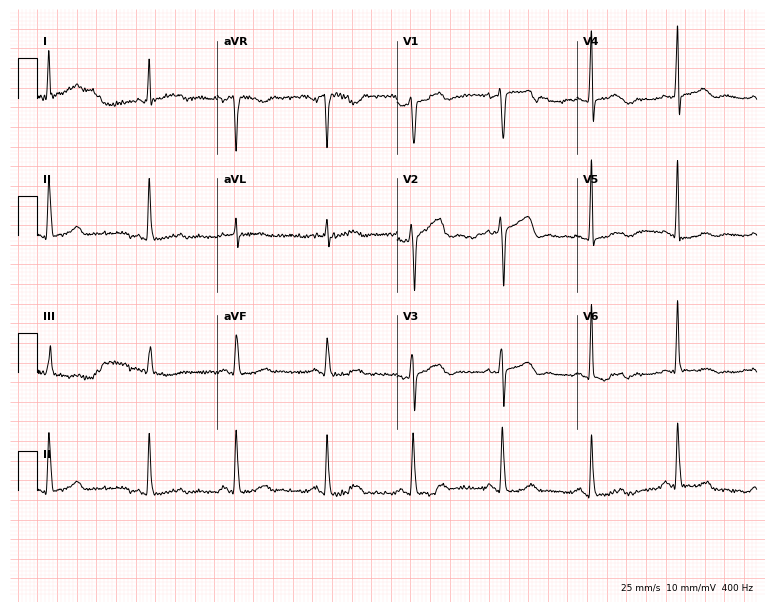
12-lead ECG from a 60-year-old woman (7.3-second recording at 400 Hz). No first-degree AV block, right bundle branch block, left bundle branch block, sinus bradycardia, atrial fibrillation or sinus tachycardia recorded for this tracing.